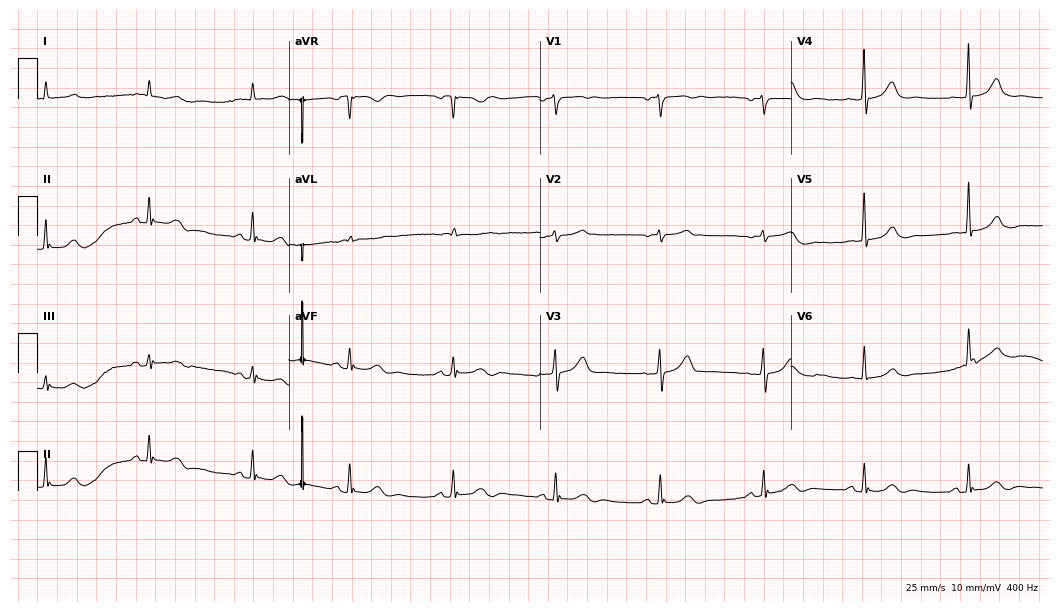
12-lead ECG from a male patient, 79 years old. No first-degree AV block, right bundle branch block, left bundle branch block, sinus bradycardia, atrial fibrillation or sinus tachycardia recorded for this tracing. Other findings, if any, are not listed.